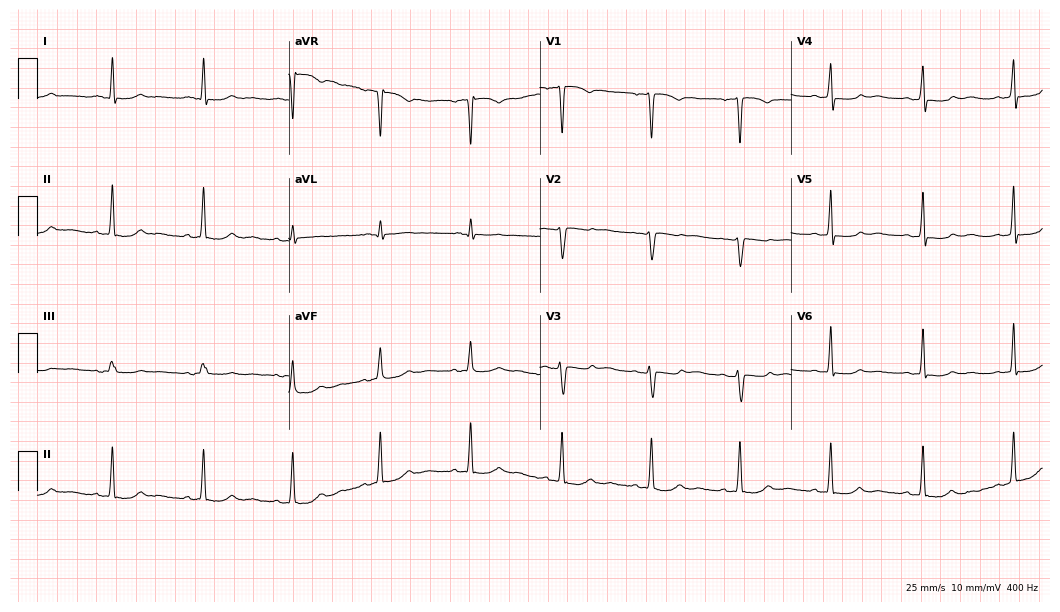
12-lead ECG from a 60-year-old woman (10.2-second recording at 400 Hz). Recorded interpretation: within normal limits.